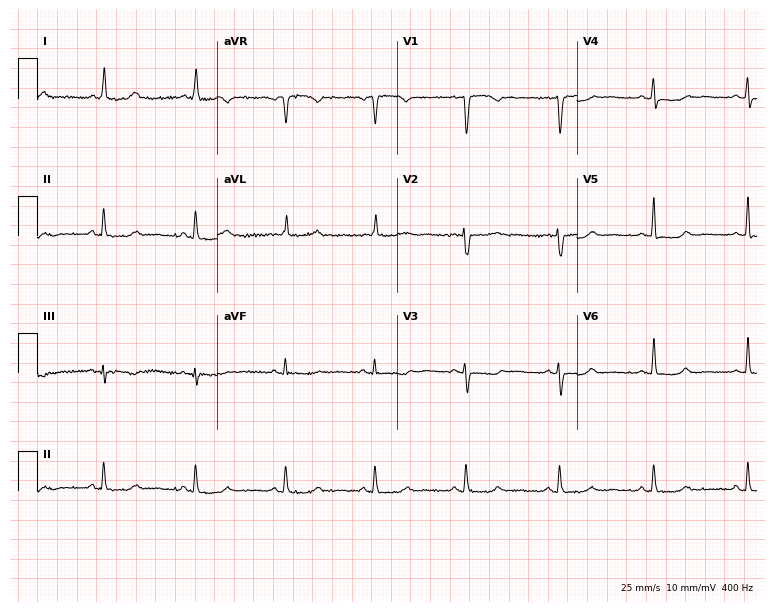
12-lead ECG from a 62-year-old female (7.3-second recording at 400 Hz). No first-degree AV block, right bundle branch block, left bundle branch block, sinus bradycardia, atrial fibrillation or sinus tachycardia recorded for this tracing.